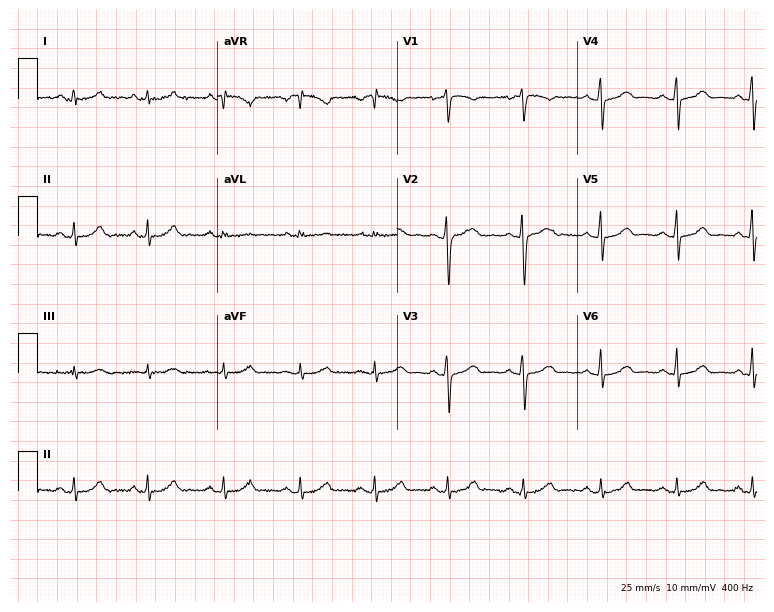
12-lead ECG from a 37-year-old female (7.3-second recording at 400 Hz). No first-degree AV block, right bundle branch block, left bundle branch block, sinus bradycardia, atrial fibrillation or sinus tachycardia recorded for this tracing. Other findings, if any, are not listed.